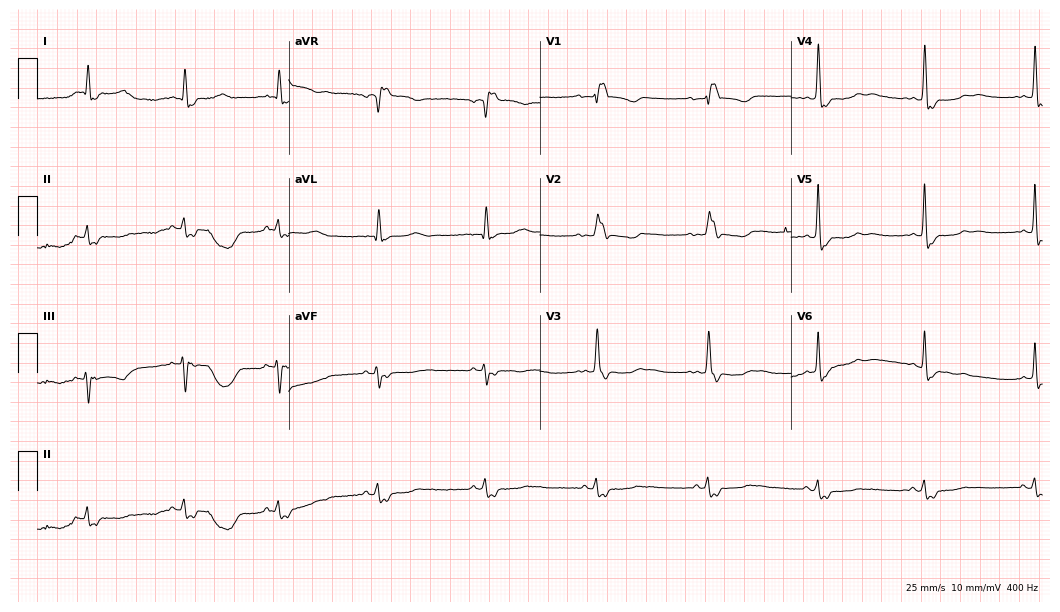
Resting 12-lead electrocardiogram. Patient: a female, 73 years old. The tracing shows right bundle branch block.